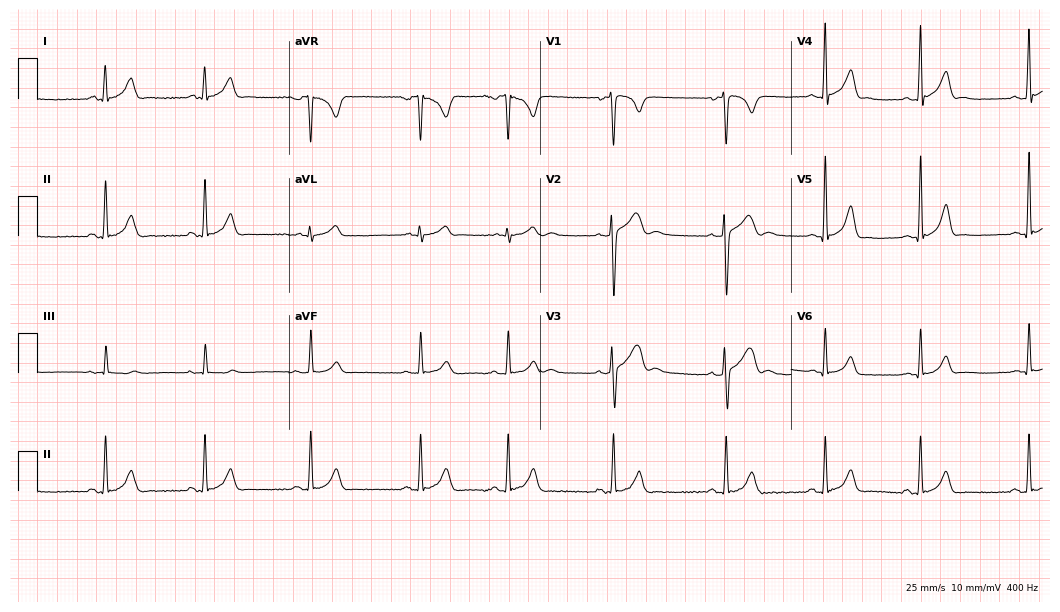
ECG — a 17-year-old man. Labelled as a normal ECG.